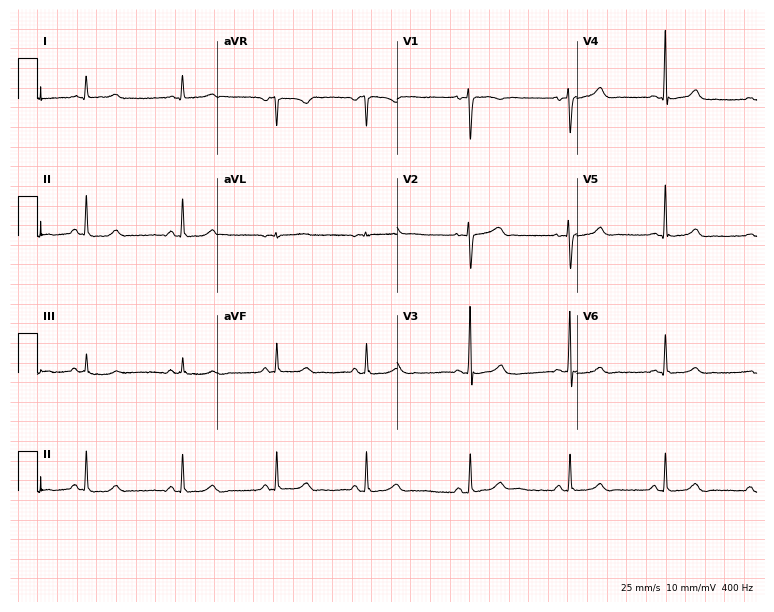
Standard 12-lead ECG recorded from a 30-year-old female patient. Read as a normal ECG.